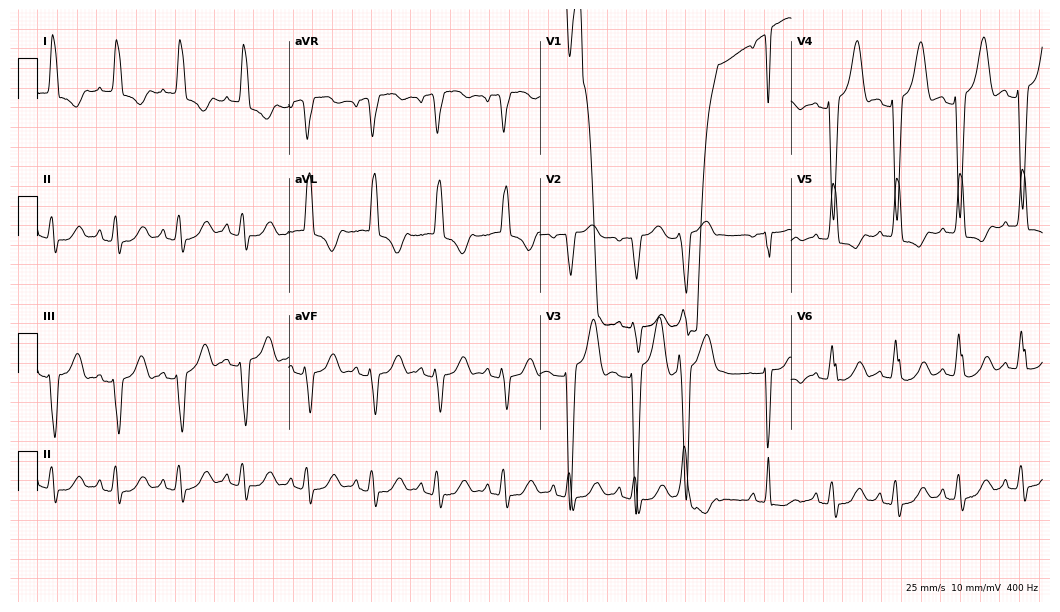
ECG (10.2-second recording at 400 Hz) — a woman, 81 years old. Screened for six findings — first-degree AV block, right bundle branch block, left bundle branch block, sinus bradycardia, atrial fibrillation, sinus tachycardia — none is recorded. Other findings, if any, are not listed.